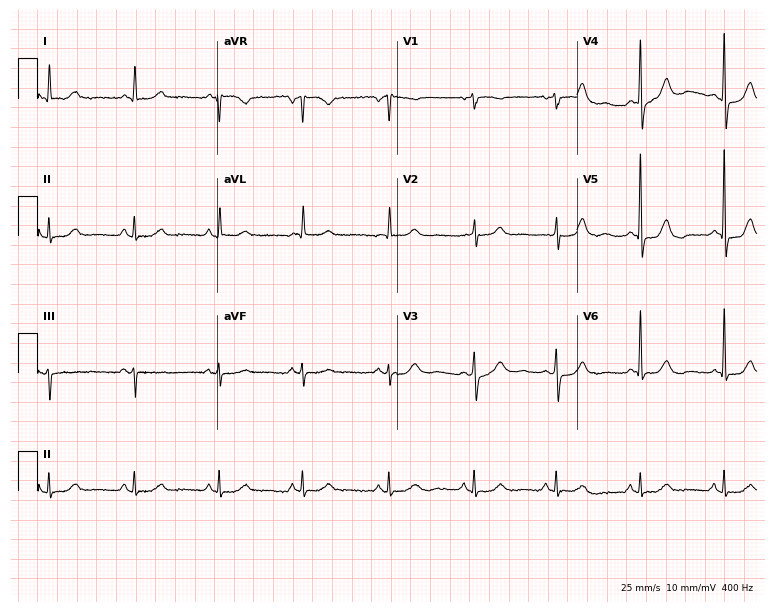
12-lead ECG from a female, 74 years old (7.3-second recording at 400 Hz). No first-degree AV block, right bundle branch block, left bundle branch block, sinus bradycardia, atrial fibrillation or sinus tachycardia recorded for this tracing.